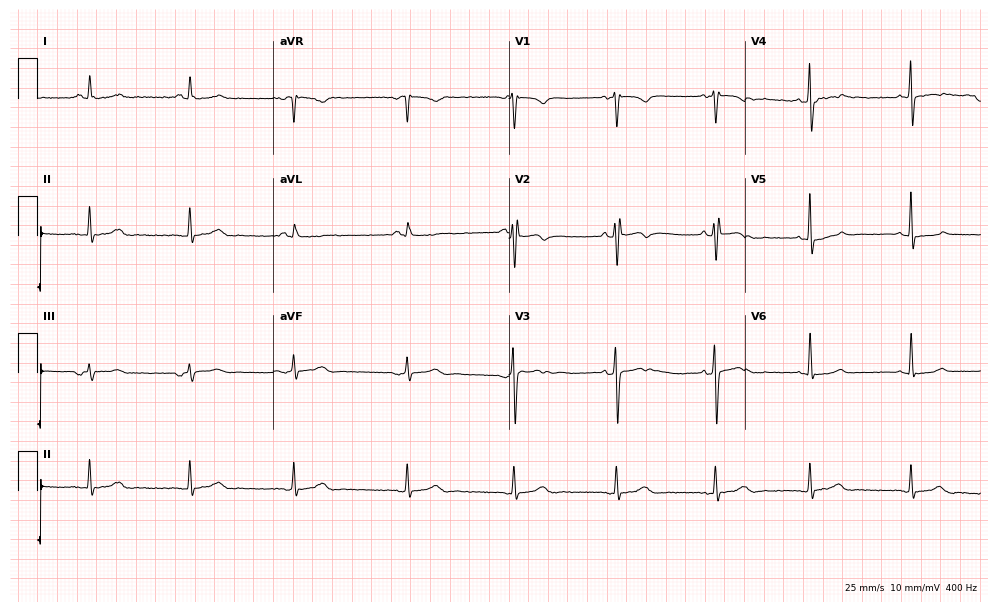
12-lead ECG from a male patient, 39 years old (9.6-second recording at 400 Hz). No first-degree AV block, right bundle branch block, left bundle branch block, sinus bradycardia, atrial fibrillation or sinus tachycardia recorded for this tracing. Other findings, if any, are not listed.